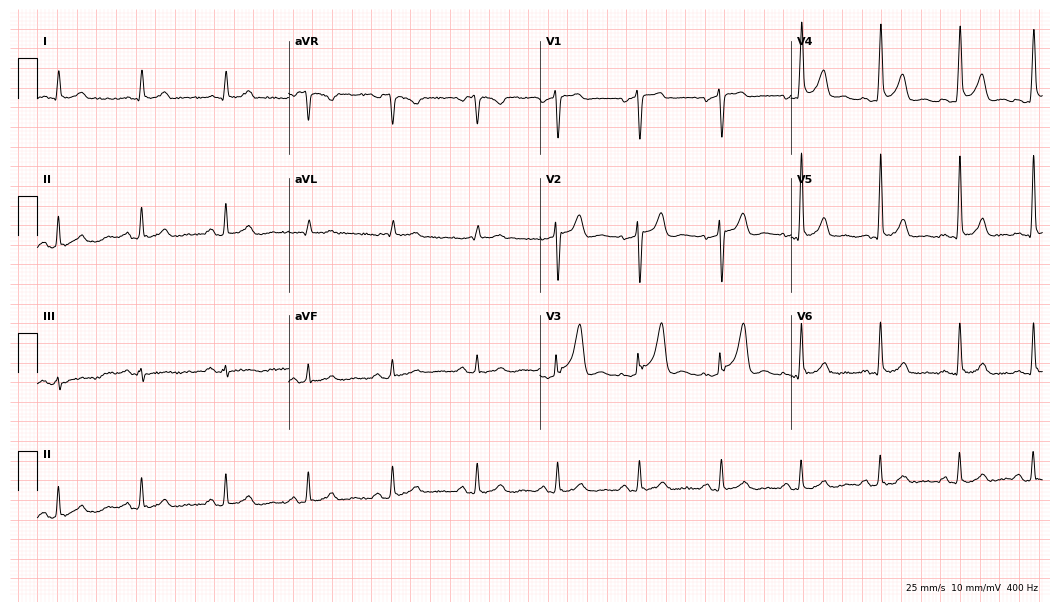
12-lead ECG (10.2-second recording at 400 Hz) from a man, 30 years old. Screened for six findings — first-degree AV block, right bundle branch block (RBBB), left bundle branch block (LBBB), sinus bradycardia, atrial fibrillation (AF), sinus tachycardia — none is recorded. Only these six findings were labelled.